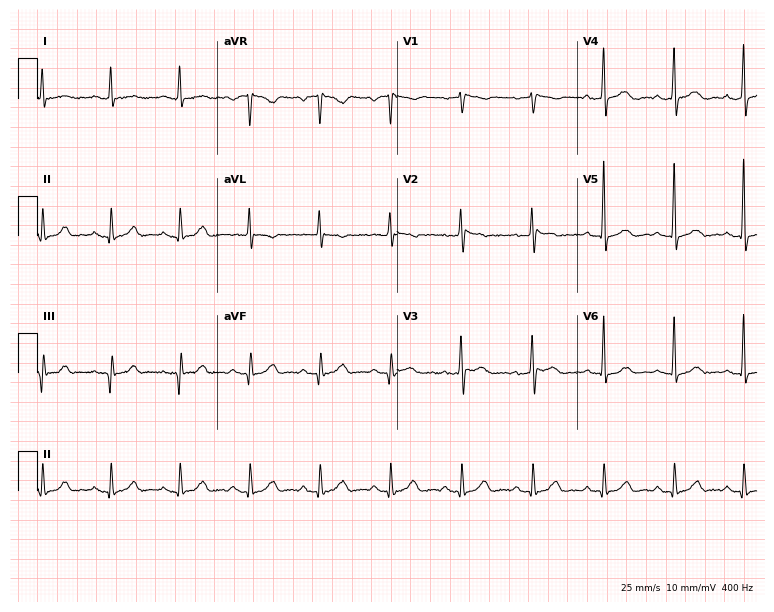
ECG — a male, 52 years old. Screened for six findings — first-degree AV block, right bundle branch block, left bundle branch block, sinus bradycardia, atrial fibrillation, sinus tachycardia — none is recorded.